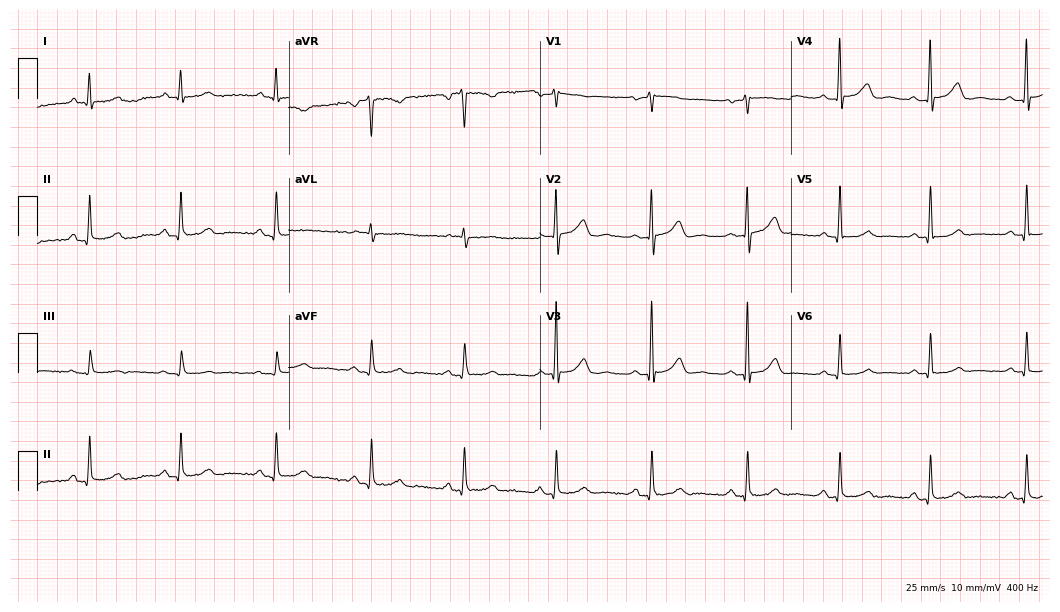
12-lead ECG (10.2-second recording at 400 Hz) from a 61-year-old female. Labelled as a normal ECG.